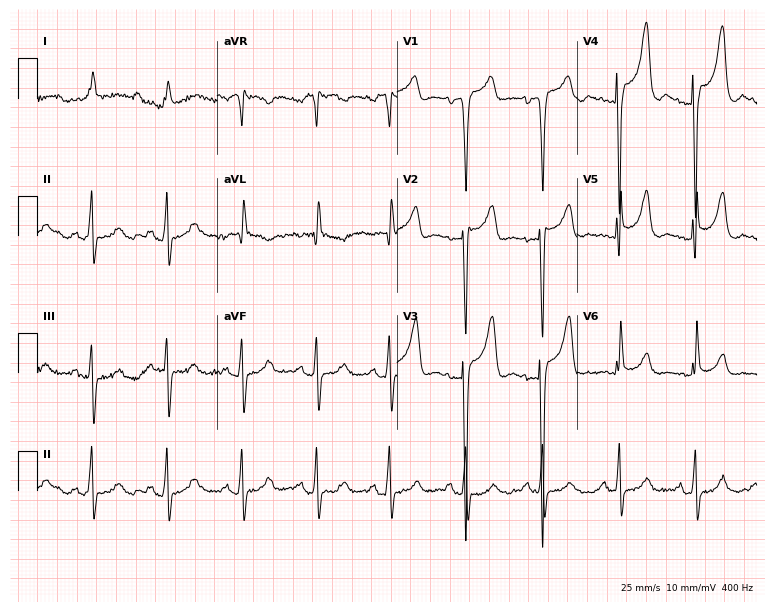
Electrocardiogram, a male patient, 81 years old. Of the six screened findings (first-degree AV block, right bundle branch block, left bundle branch block, sinus bradycardia, atrial fibrillation, sinus tachycardia), none is recorded.